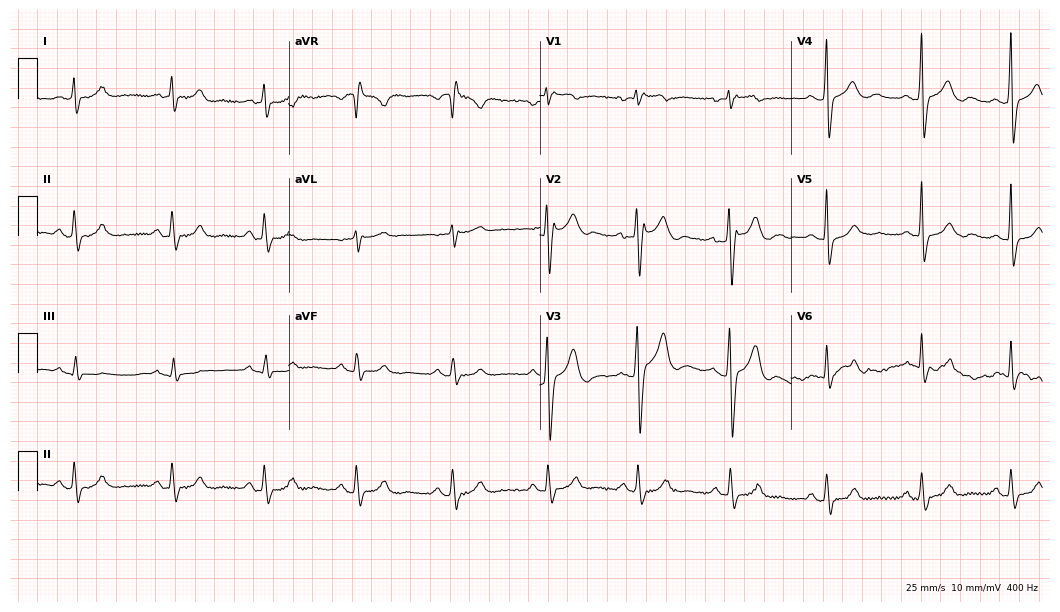
ECG (10.2-second recording at 400 Hz) — a male patient, 38 years old. Screened for six findings — first-degree AV block, right bundle branch block, left bundle branch block, sinus bradycardia, atrial fibrillation, sinus tachycardia — none is recorded. Findings outside these six are not listed.